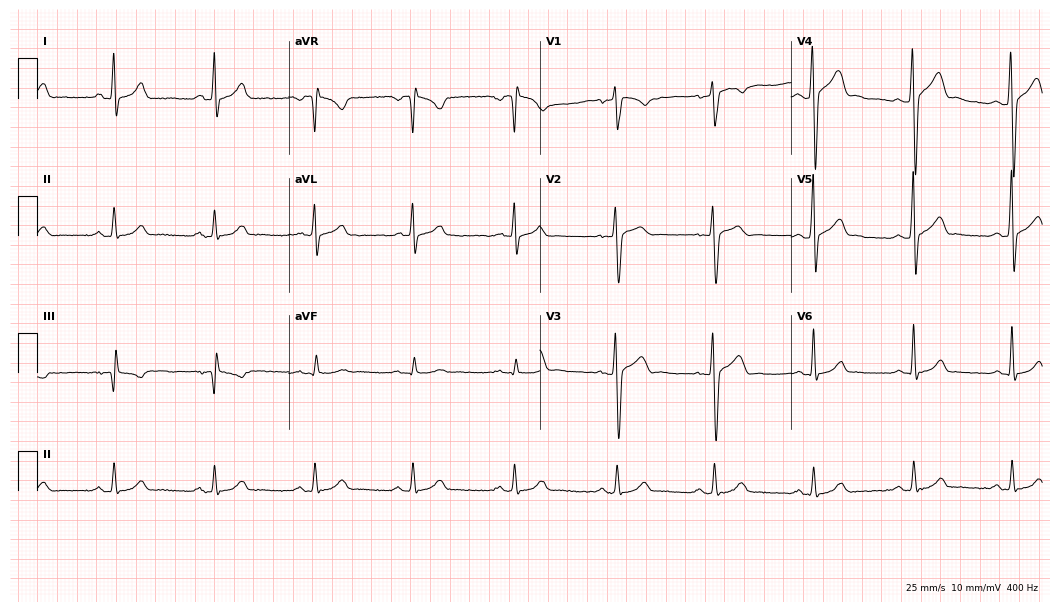
12-lead ECG from a 32-year-old man (10.2-second recording at 400 Hz). Recorded interpretation: within normal limits.